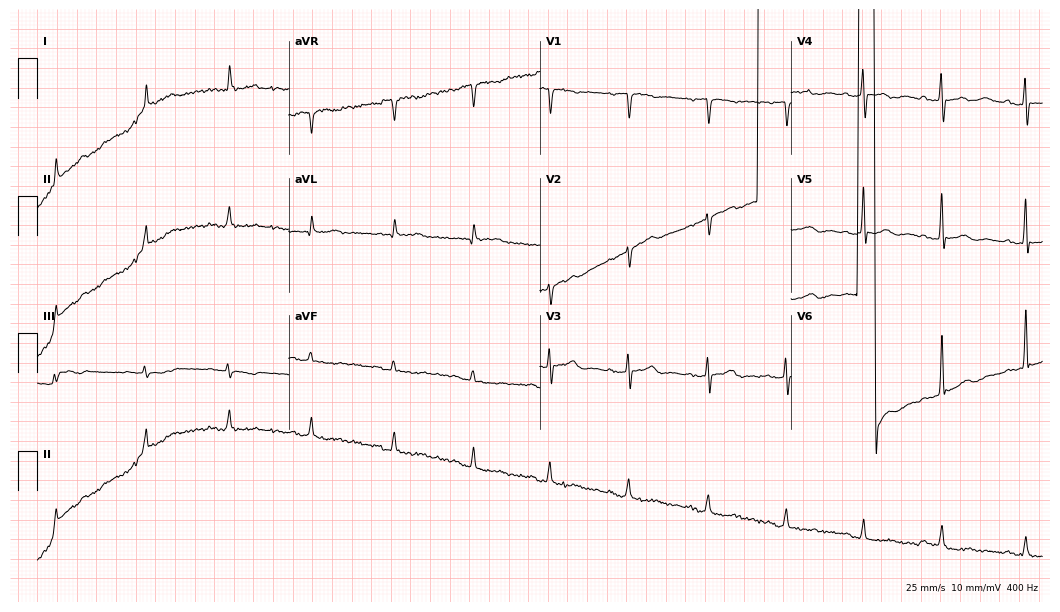
Standard 12-lead ECG recorded from an 84-year-old male (10.2-second recording at 400 Hz). None of these six findings is recorded: first-degree AV block, right bundle branch block (RBBB), left bundle branch block (LBBB), sinus bradycardia, atrial fibrillation (AF), sinus tachycardia. Other findings, if any, are not listed.